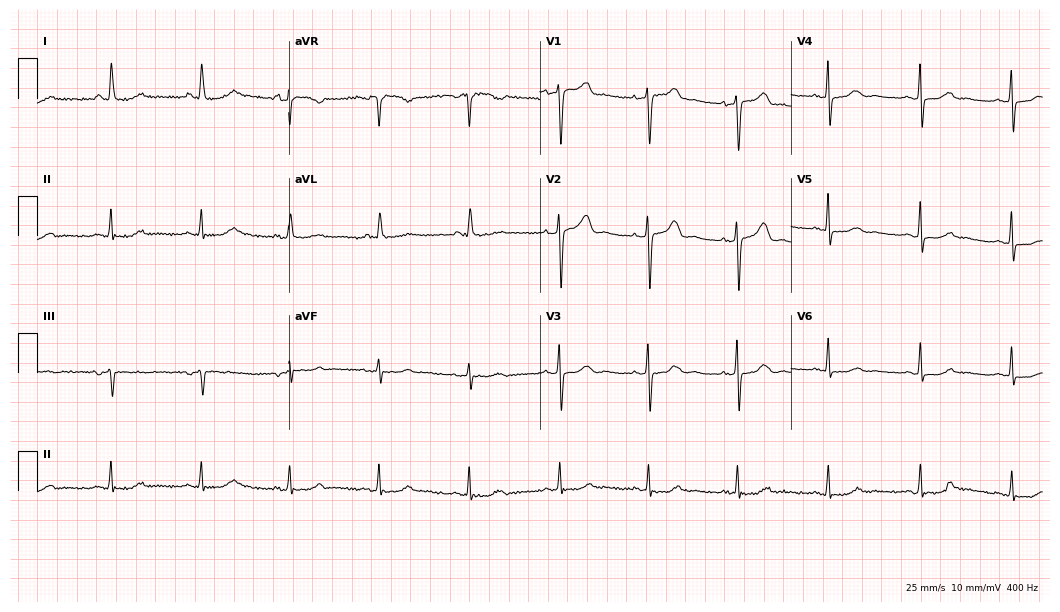
12-lead ECG from a female patient, 71 years old (10.2-second recording at 400 Hz). Recorded interpretation: within normal limits.